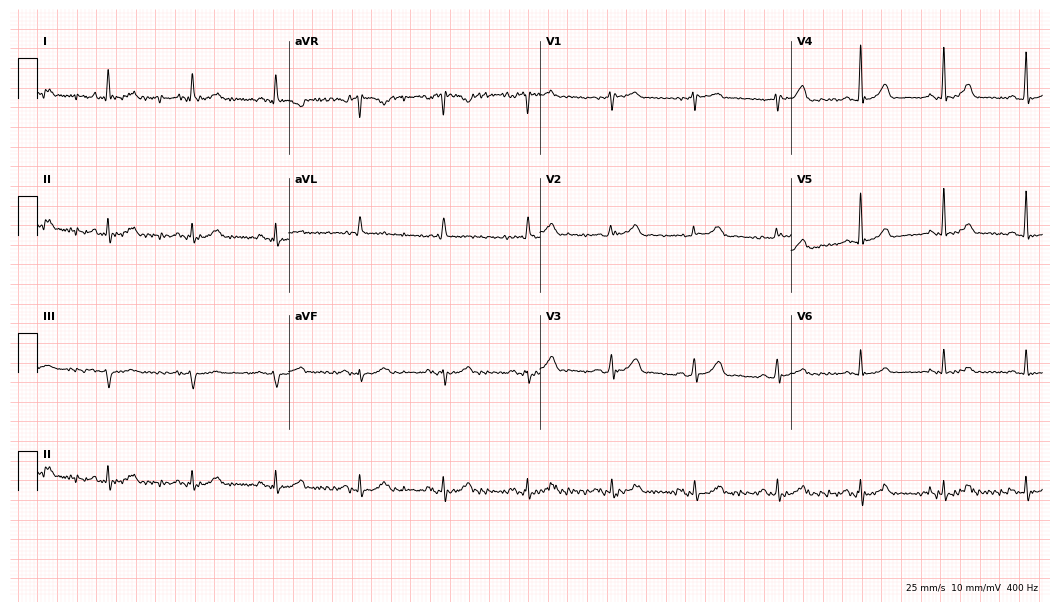
Resting 12-lead electrocardiogram. Patient: a male, 86 years old. Read as a normal ECG.